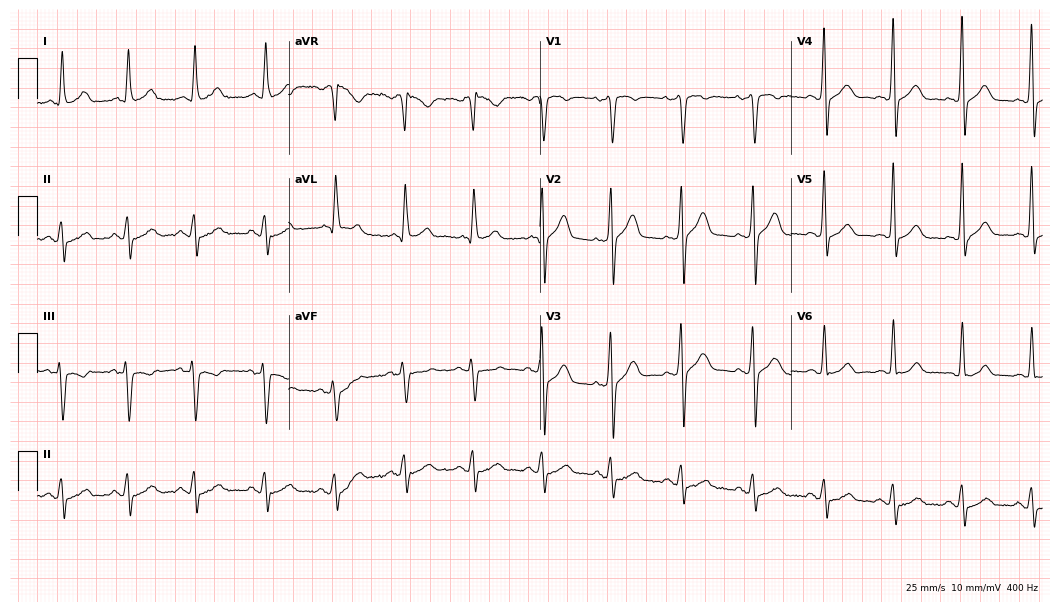
ECG — a male patient, 59 years old. Screened for six findings — first-degree AV block, right bundle branch block (RBBB), left bundle branch block (LBBB), sinus bradycardia, atrial fibrillation (AF), sinus tachycardia — none is recorded.